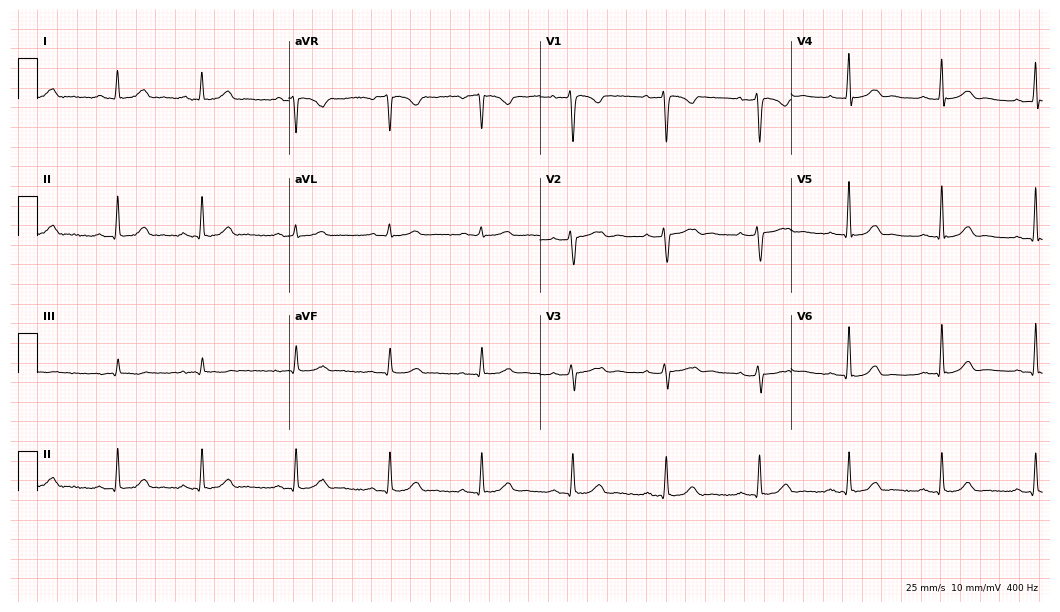
Standard 12-lead ECG recorded from a 32-year-old woman (10.2-second recording at 400 Hz). Read as a normal ECG.